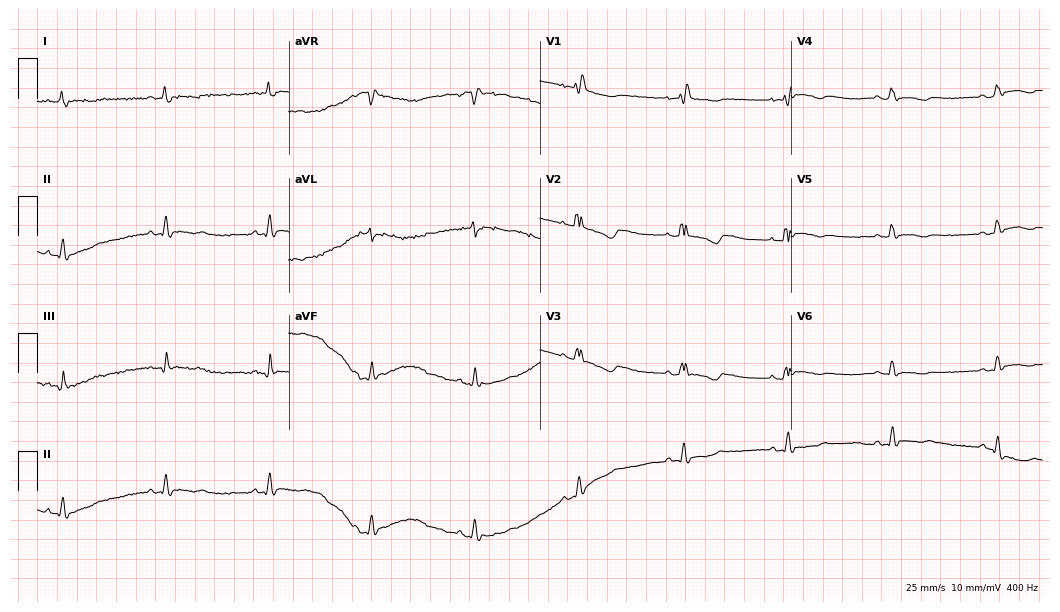
12-lead ECG from a 59-year-old female. No first-degree AV block, right bundle branch block, left bundle branch block, sinus bradycardia, atrial fibrillation or sinus tachycardia recorded for this tracing. Other findings, if any, are not listed.